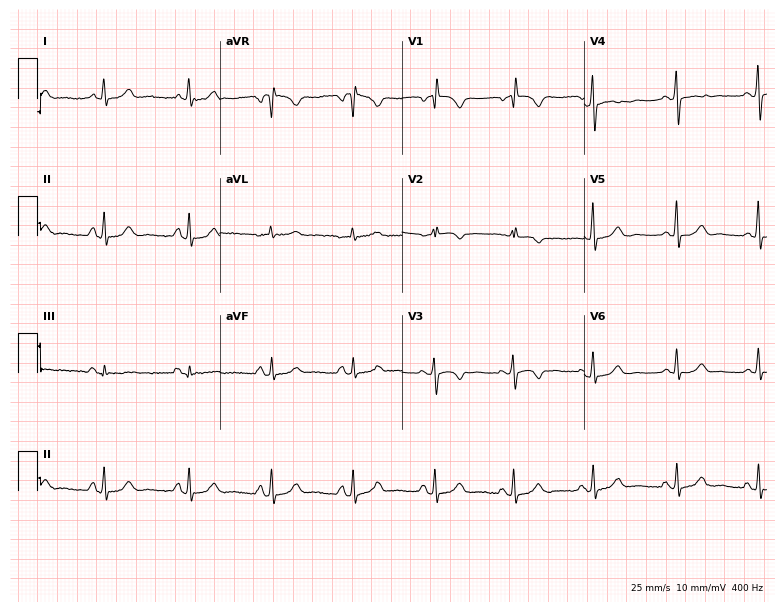
Electrocardiogram (7.4-second recording at 400 Hz), a 66-year-old woman. Of the six screened findings (first-degree AV block, right bundle branch block, left bundle branch block, sinus bradycardia, atrial fibrillation, sinus tachycardia), none is recorded. Only these six findings were labelled.